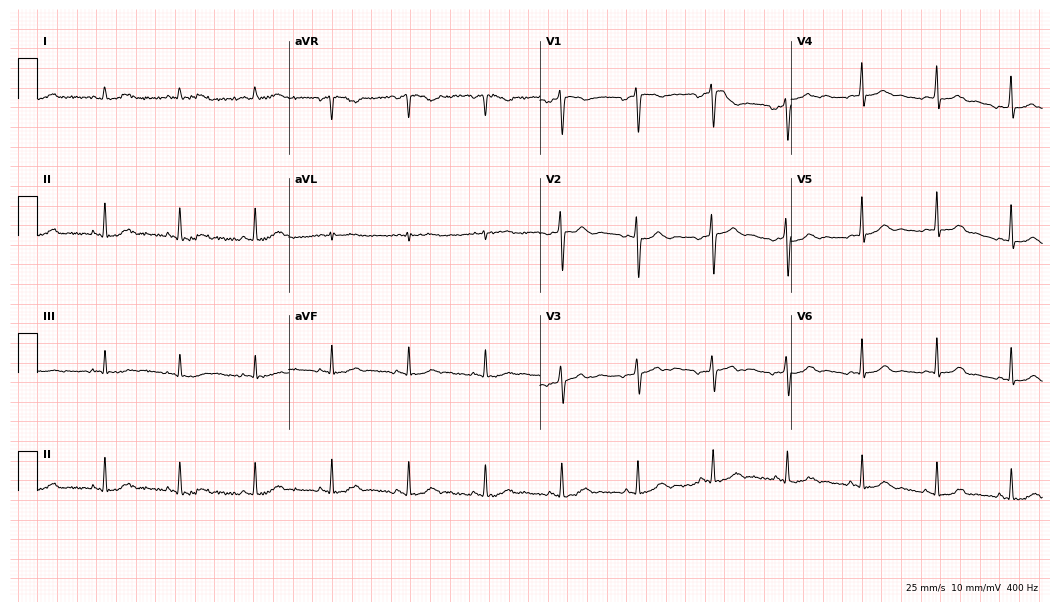
12-lead ECG (10.2-second recording at 400 Hz) from a 32-year-old female patient. Labelled as a normal ECG.